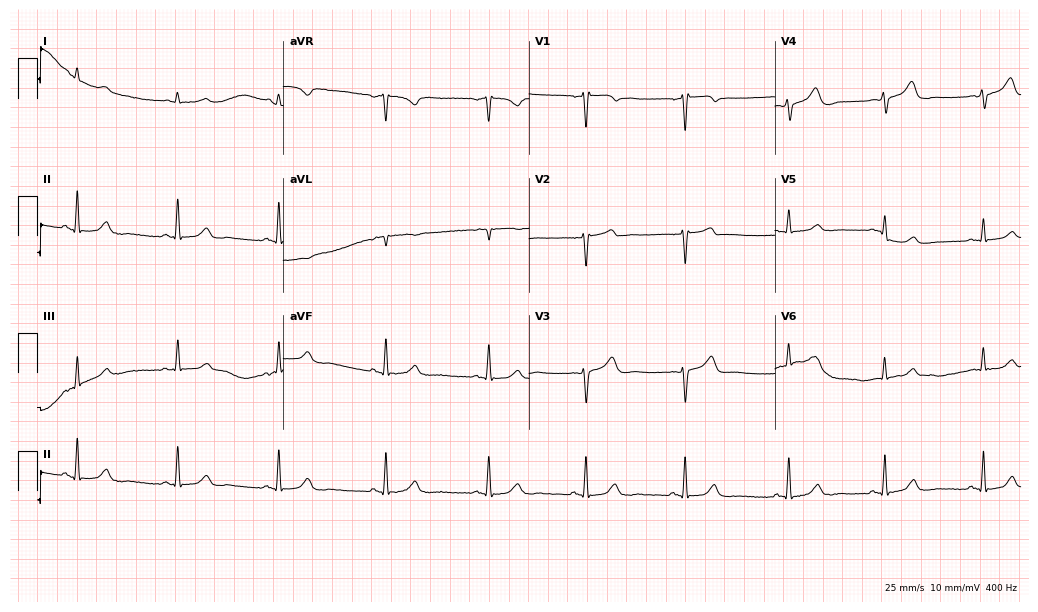
12-lead ECG from a 59-year-old man. Recorded interpretation: within normal limits.